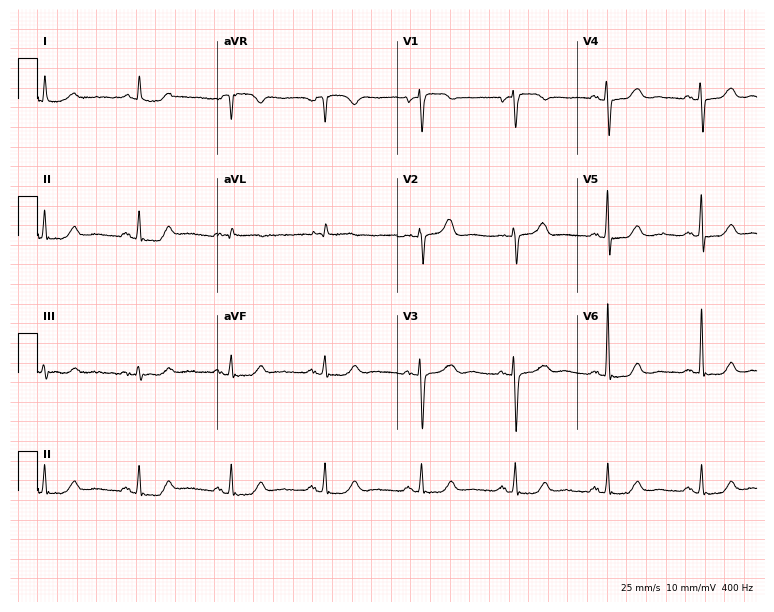
Electrocardiogram (7.3-second recording at 400 Hz), a 68-year-old female patient. Overall reading on record: normal ECG.